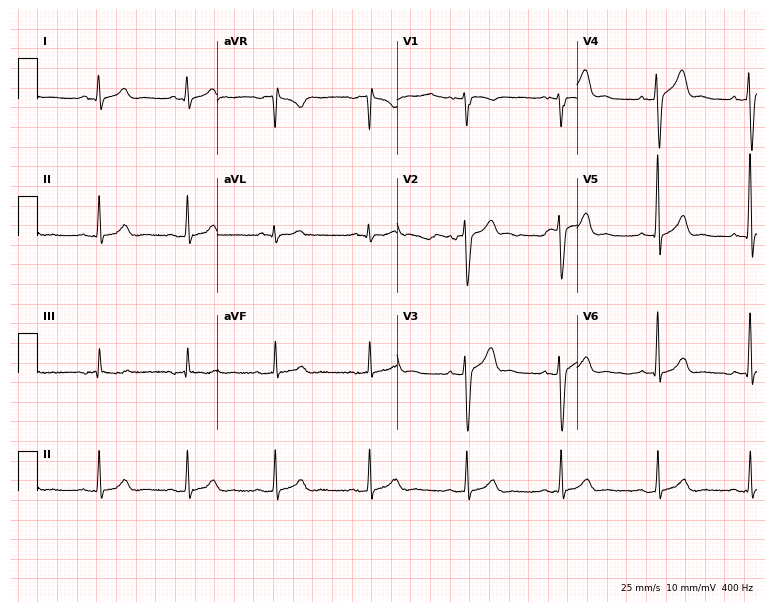
Resting 12-lead electrocardiogram (7.3-second recording at 400 Hz). Patient: a 34-year-old male. Read as a normal ECG.